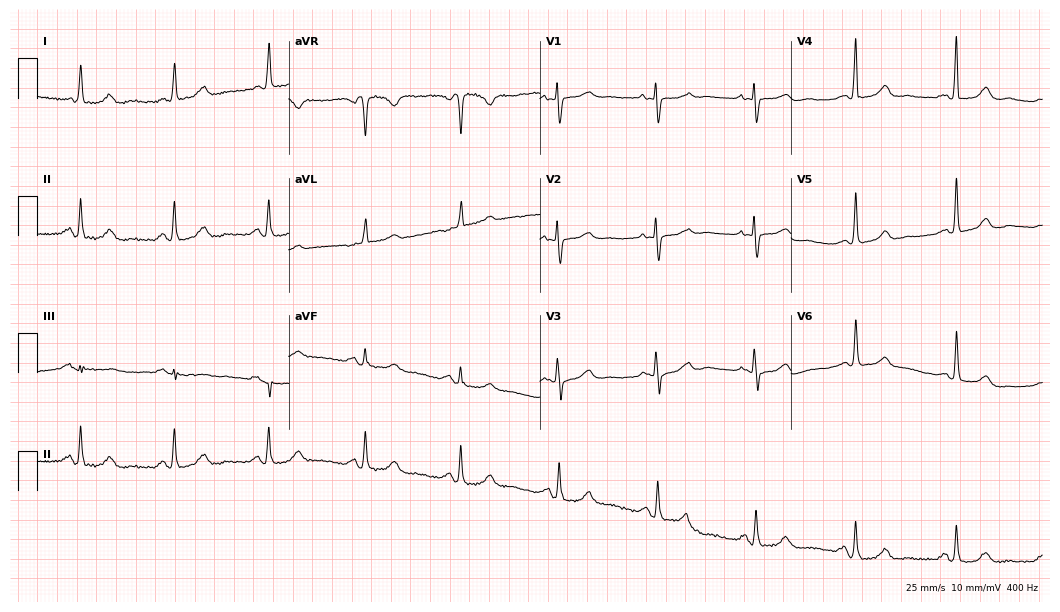
Resting 12-lead electrocardiogram (10.2-second recording at 400 Hz). Patient: a 75-year-old female. Read as a normal ECG.